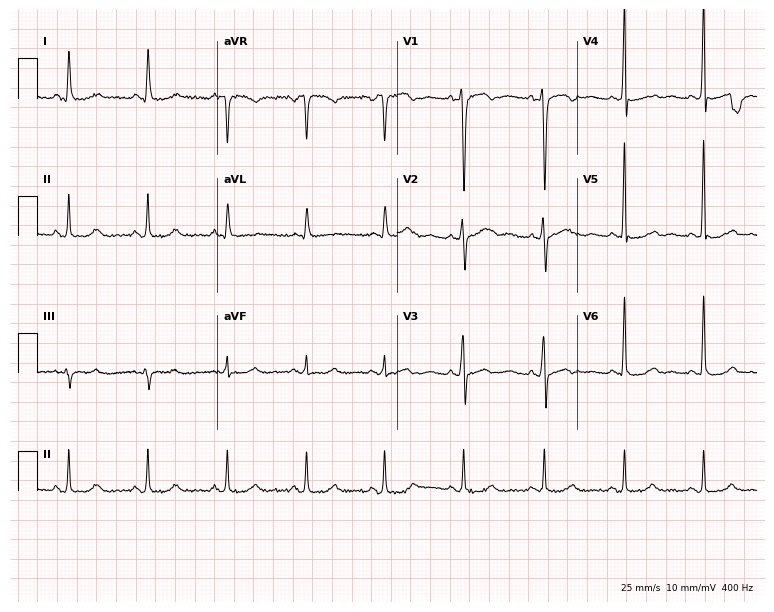
Standard 12-lead ECG recorded from a female, 50 years old (7.3-second recording at 400 Hz). None of these six findings is recorded: first-degree AV block, right bundle branch block (RBBB), left bundle branch block (LBBB), sinus bradycardia, atrial fibrillation (AF), sinus tachycardia.